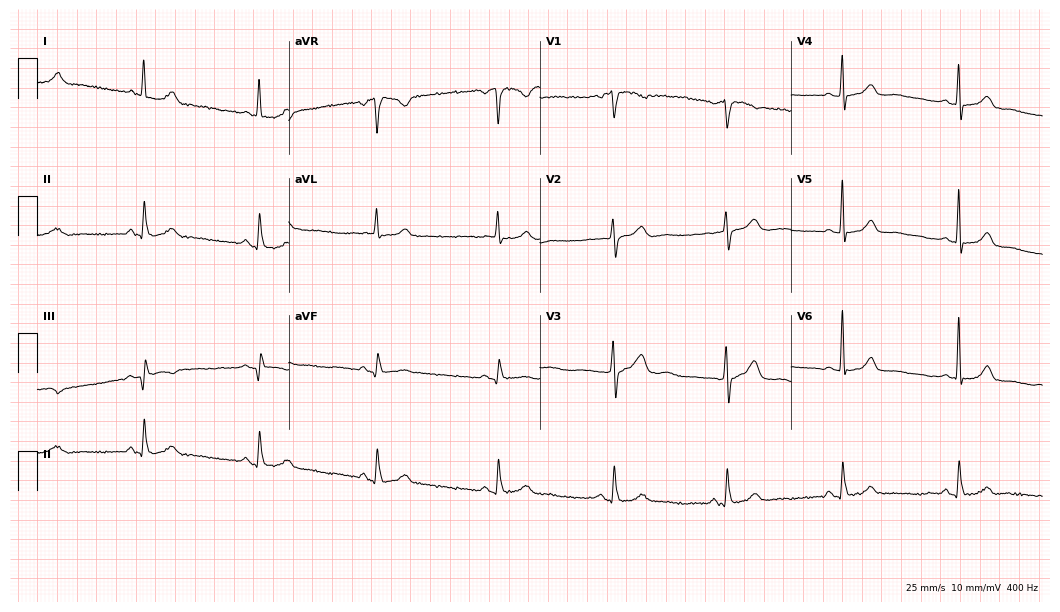
Standard 12-lead ECG recorded from a 59-year-old woman (10.2-second recording at 400 Hz). None of these six findings is recorded: first-degree AV block, right bundle branch block, left bundle branch block, sinus bradycardia, atrial fibrillation, sinus tachycardia. Findings outside these six are not listed.